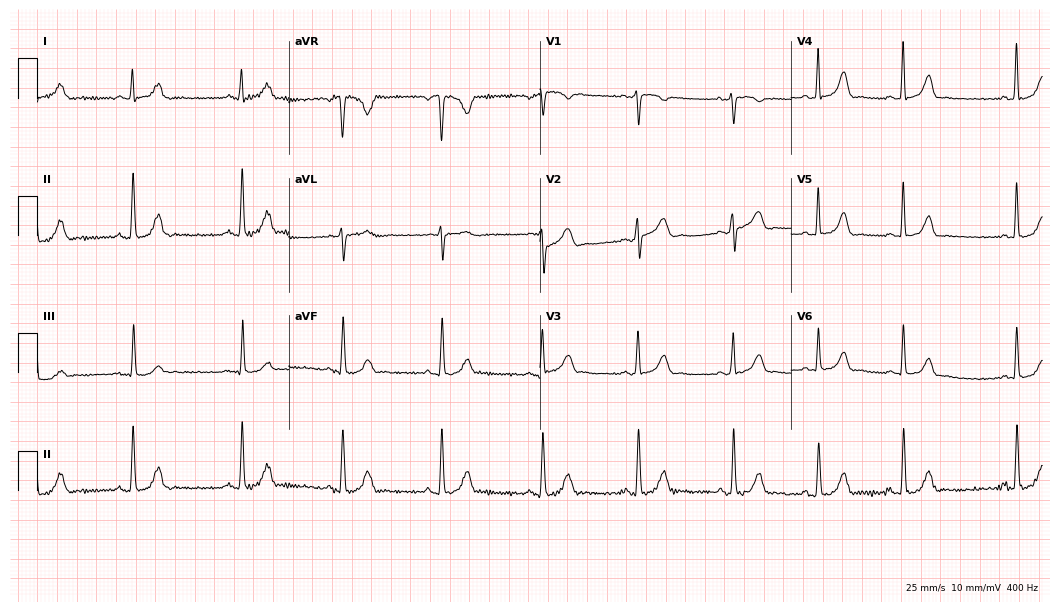
ECG — a 22-year-old woman. Labelled as a normal ECG.